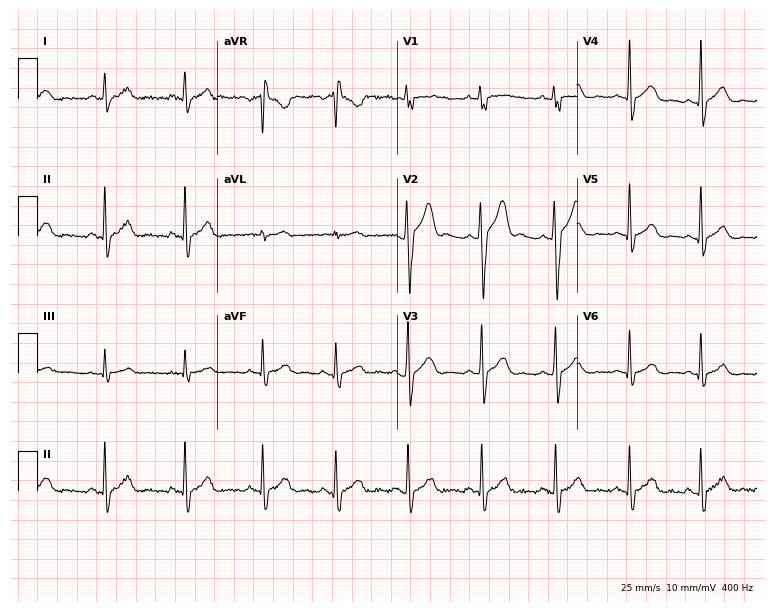
Electrocardiogram (7.3-second recording at 400 Hz), a man, 19 years old. Overall reading on record: normal ECG.